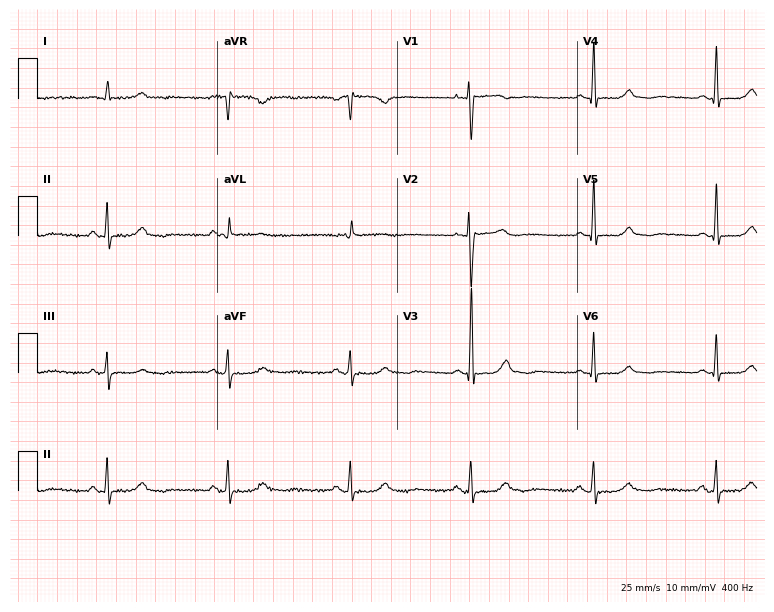
Resting 12-lead electrocardiogram (7.3-second recording at 400 Hz). Patient: a 70-year-old woman. The tracing shows sinus bradycardia (a sinus rate of 50 beats per minute or less).